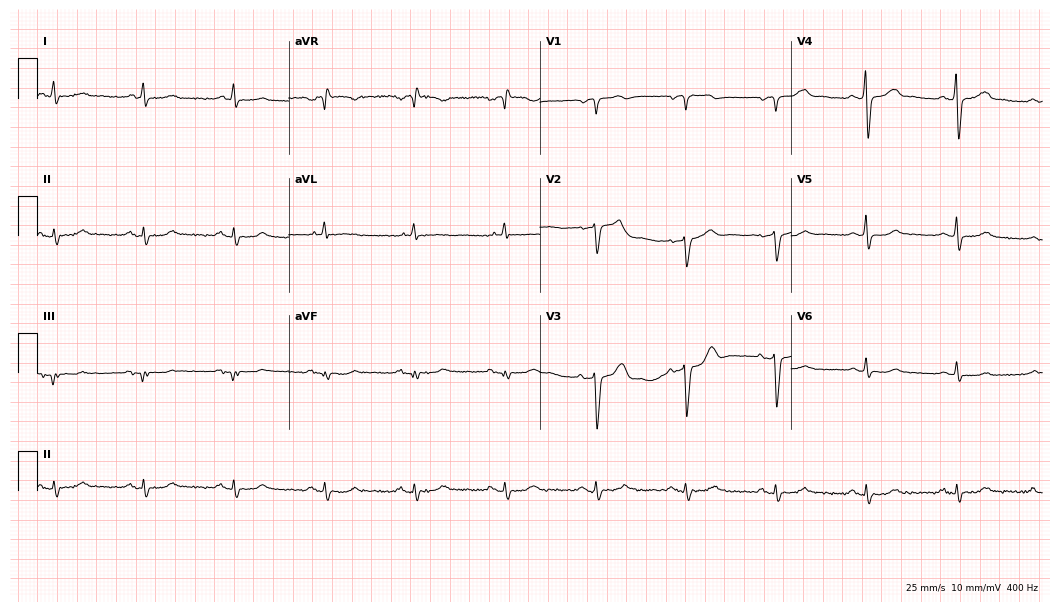
Electrocardiogram (10.2-second recording at 400 Hz), a 64-year-old female patient. Overall reading on record: normal ECG.